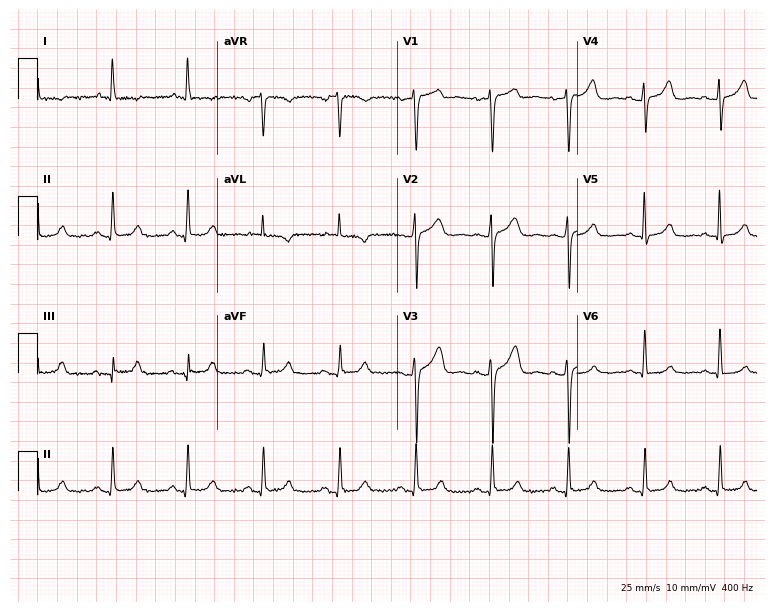
ECG (7.3-second recording at 400 Hz) — a 46-year-old female patient. Labelled as a normal ECG.